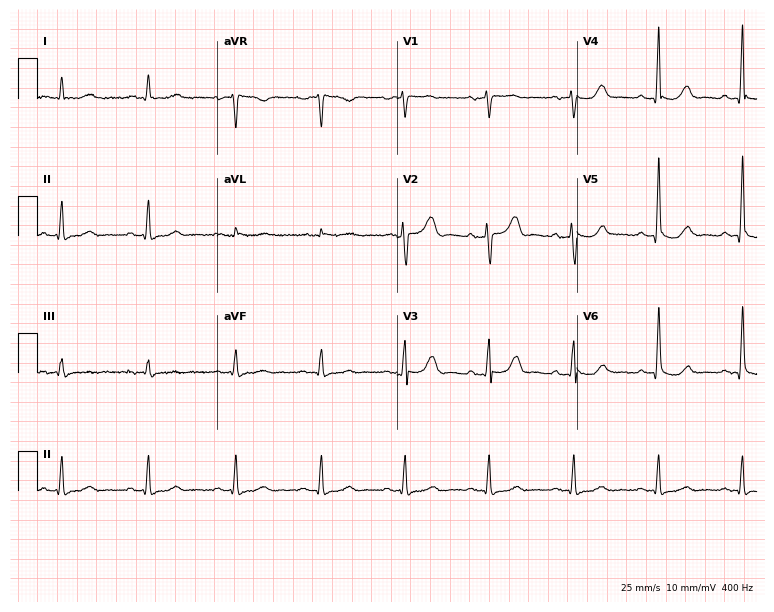
ECG (7.3-second recording at 400 Hz) — a male patient, 76 years old. Screened for six findings — first-degree AV block, right bundle branch block (RBBB), left bundle branch block (LBBB), sinus bradycardia, atrial fibrillation (AF), sinus tachycardia — none is recorded.